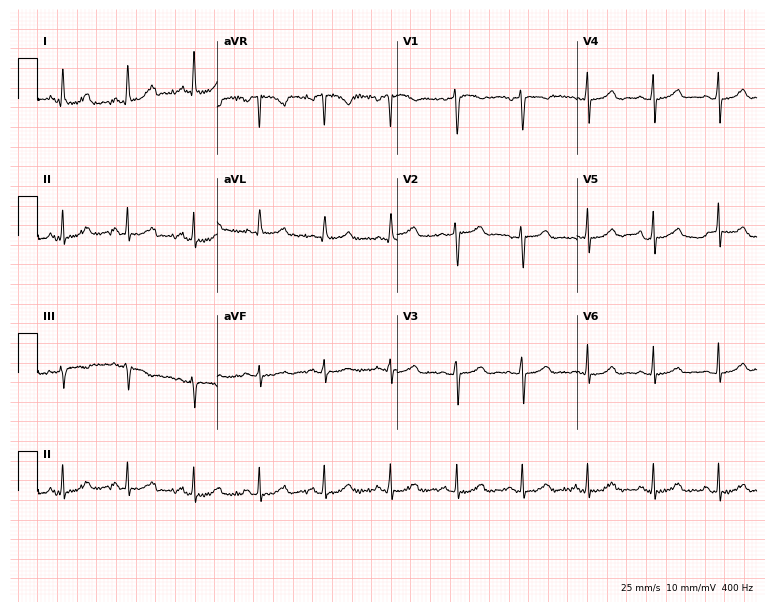
Standard 12-lead ECG recorded from a female patient, 46 years old (7.3-second recording at 400 Hz). None of these six findings is recorded: first-degree AV block, right bundle branch block, left bundle branch block, sinus bradycardia, atrial fibrillation, sinus tachycardia.